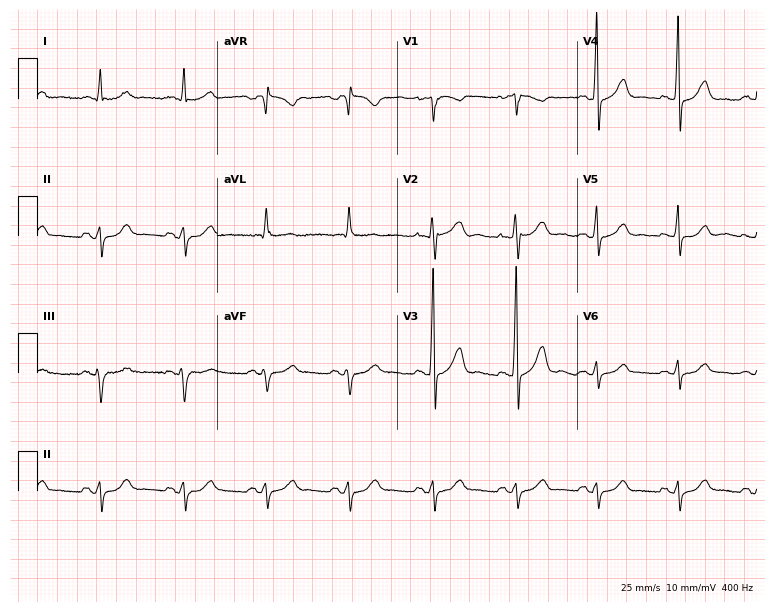
Standard 12-lead ECG recorded from a 63-year-old man (7.3-second recording at 400 Hz). None of these six findings is recorded: first-degree AV block, right bundle branch block, left bundle branch block, sinus bradycardia, atrial fibrillation, sinus tachycardia. Only these six findings were labelled.